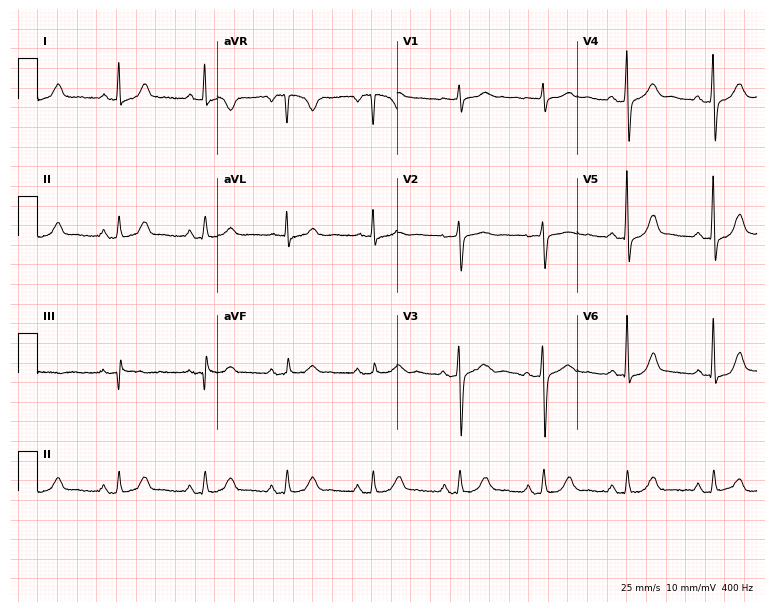
ECG (7.3-second recording at 400 Hz) — a 55-year-old female patient. Labelled as a normal ECG.